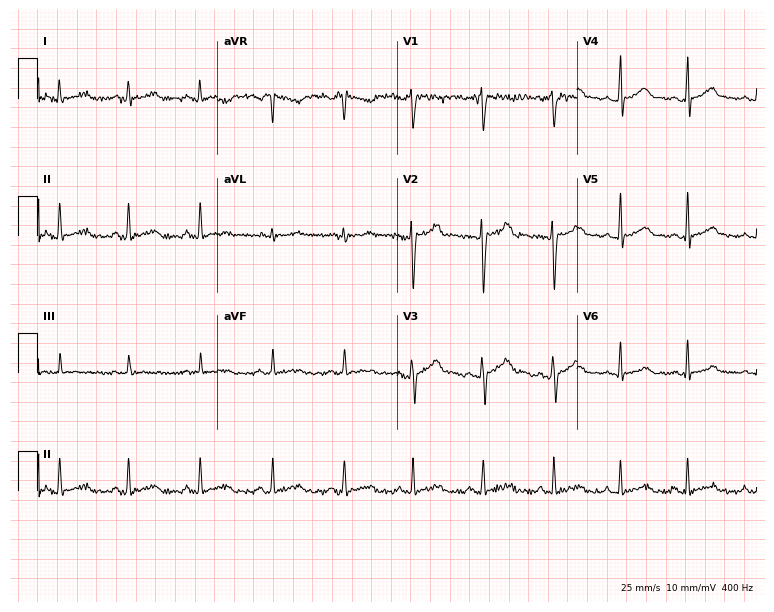
Standard 12-lead ECG recorded from a 22-year-old man (7.3-second recording at 400 Hz). Read as a normal ECG.